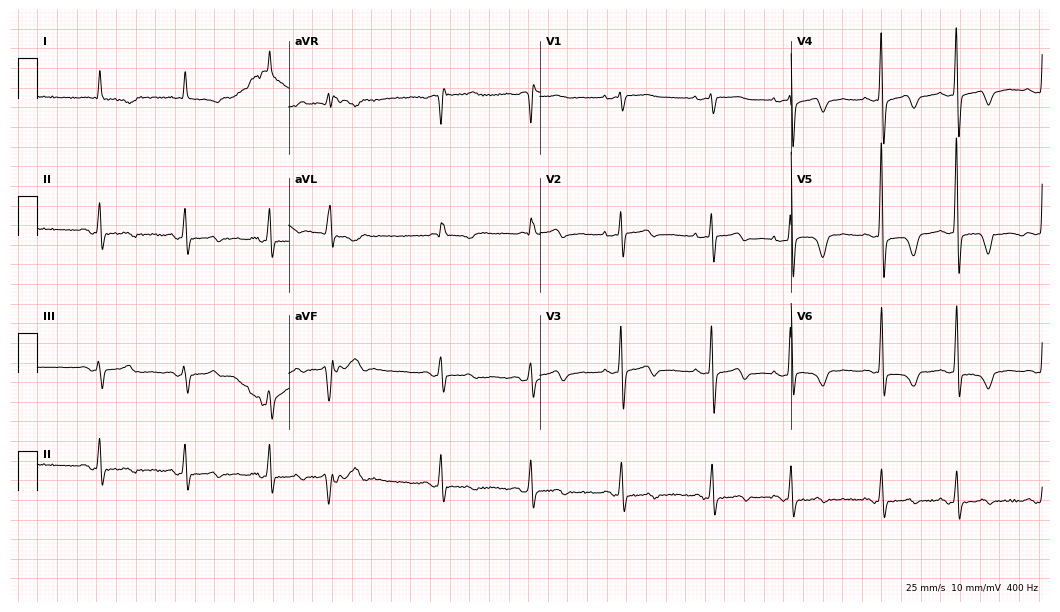
ECG — an 84-year-old female patient. Screened for six findings — first-degree AV block, right bundle branch block, left bundle branch block, sinus bradycardia, atrial fibrillation, sinus tachycardia — none is recorded.